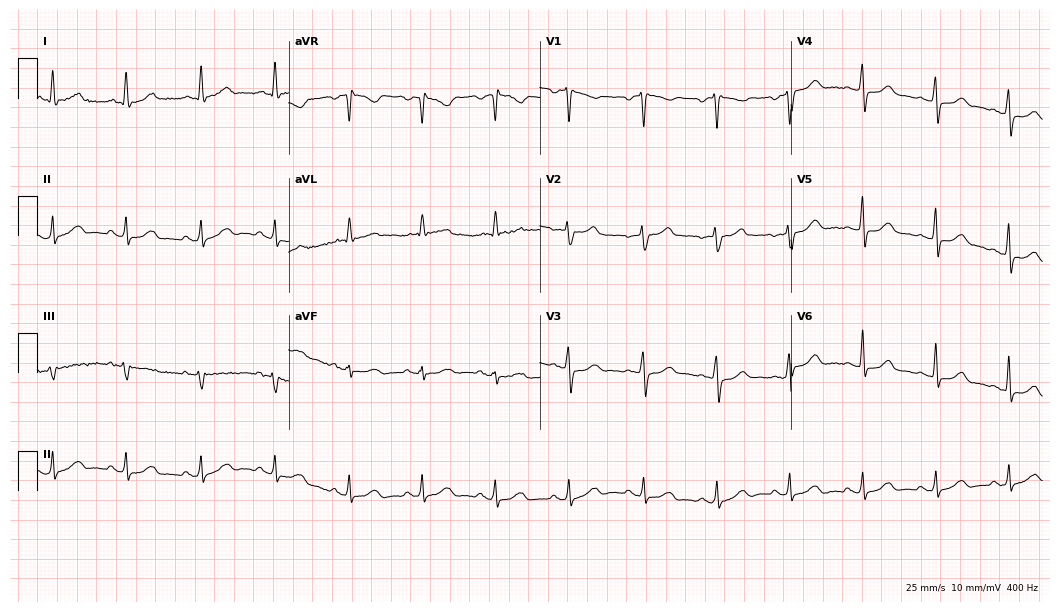
Standard 12-lead ECG recorded from a woman, 60 years old (10.2-second recording at 400 Hz). Read as a normal ECG.